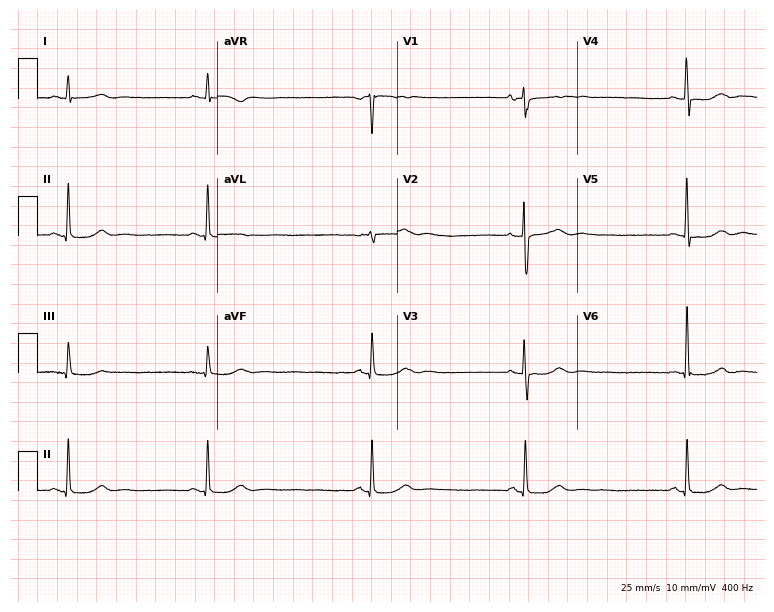
12-lead ECG (7.3-second recording at 400 Hz) from a female, 70 years old. Screened for six findings — first-degree AV block, right bundle branch block, left bundle branch block, sinus bradycardia, atrial fibrillation, sinus tachycardia — none is recorded. Only these six findings were labelled.